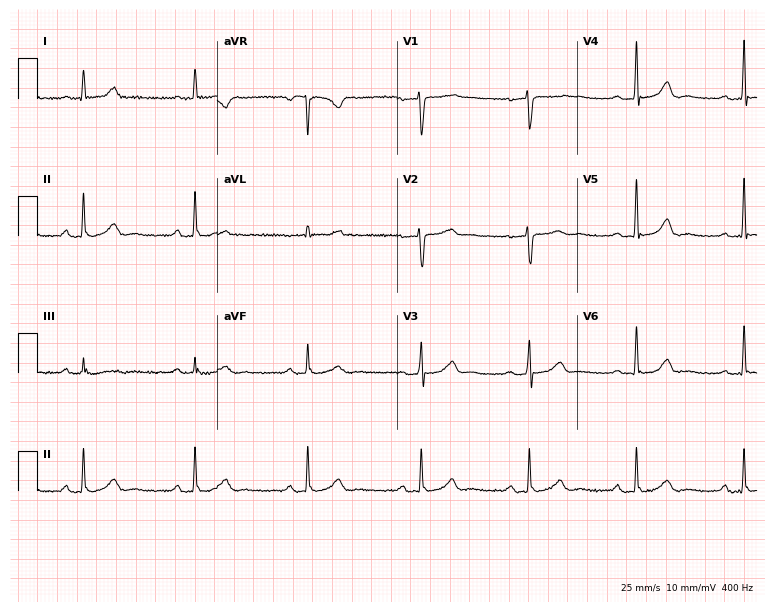
Electrocardiogram (7.3-second recording at 400 Hz), a 49-year-old woman. Overall reading on record: normal ECG.